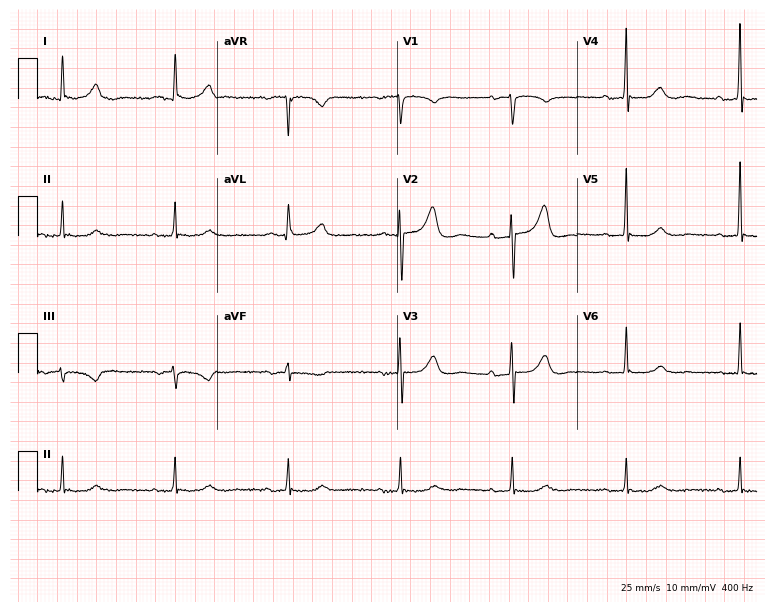
ECG — a male patient, 81 years old. Screened for six findings — first-degree AV block, right bundle branch block, left bundle branch block, sinus bradycardia, atrial fibrillation, sinus tachycardia — none is recorded.